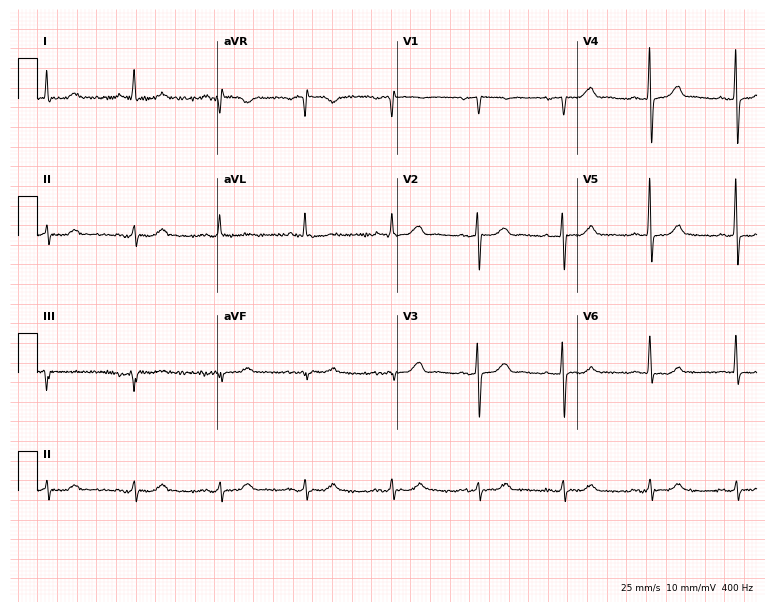
ECG (7.3-second recording at 400 Hz) — a woman, 75 years old. Screened for six findings — first-degree AV block, right bundle branch block, left bundle branch block, sinus bradycardia, atrial fibrillation, sinus tachycardia — none is recorded.